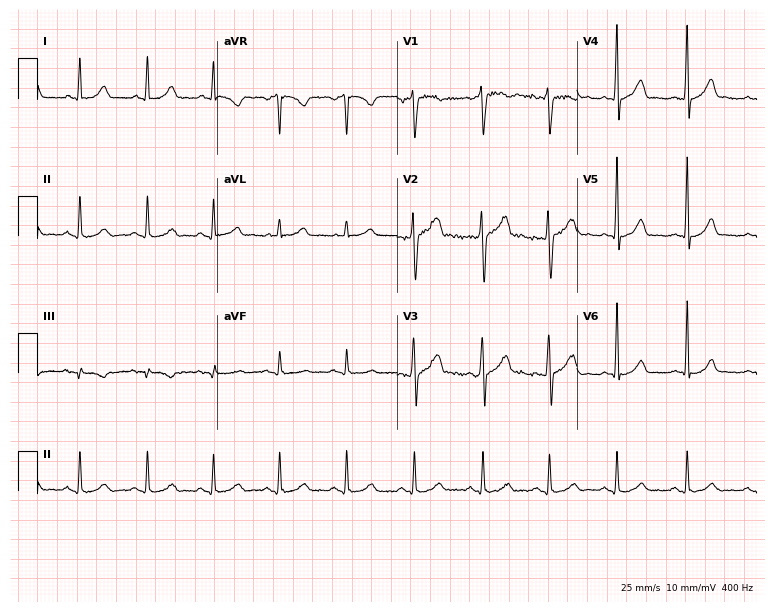
ECG (7.3-second recording at 400 Hz) — a man, 37 years old. Labelled as a normal ECG.